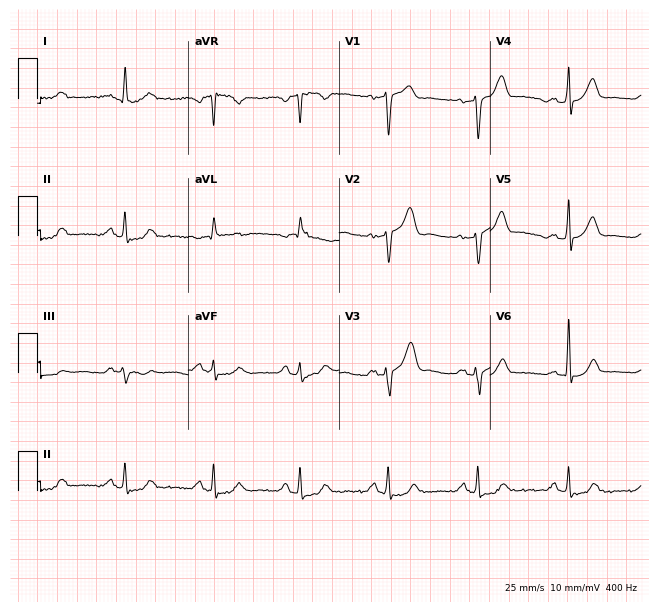
12-lead ECG (6.2-second recording at 400 Hz) from a man, 59 years old. Screened for six findings — first-degree AV block, right bundle branch block, left bundle branch block, sinus bradycardia, atrial fibrillation, sinus tachycardia — none is recorded.